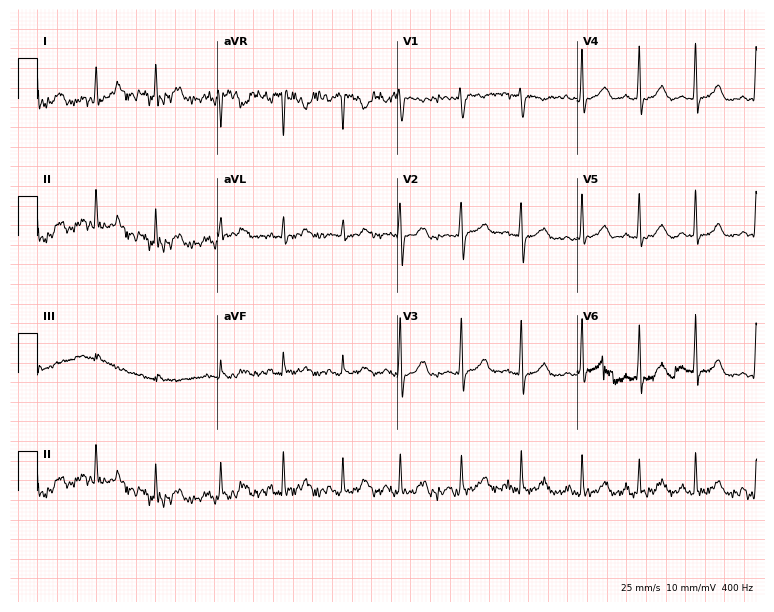
12-lead ECG (7.3-second recording at 400 Hz) from a 31-year-old woman. Screened for six findings — first-degree AV block, right bundle branch block, left bundle branch block, sinus bradycardia, atrial fibrillation, sinus tachycardia — none is recorded.